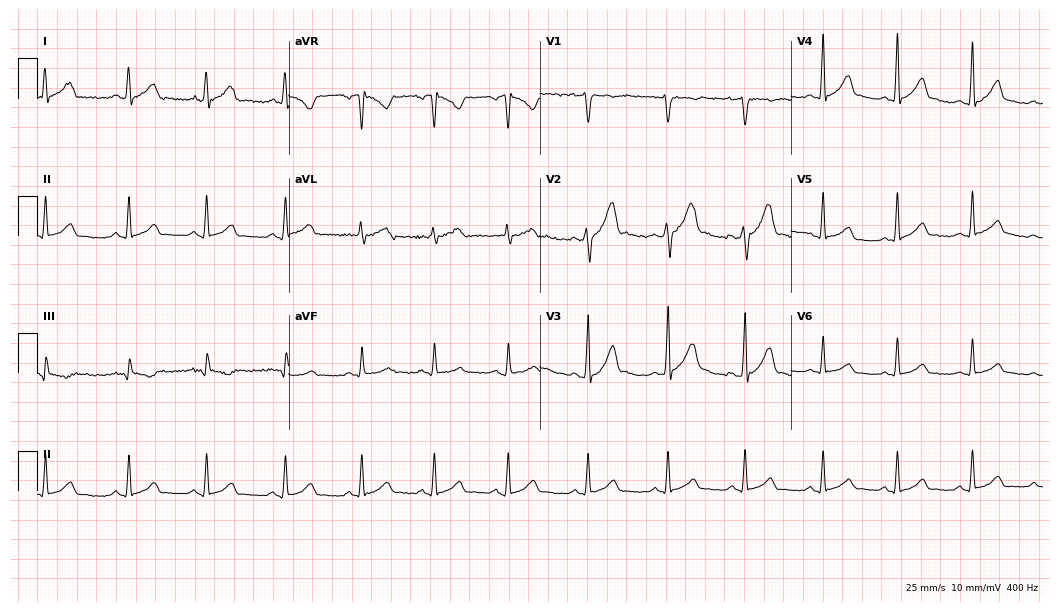
ECG (10.2-second recording at 400 Hz) — a 30-year-old male. Screened for six findings — first-degree AV block, right bundle branch block, left bundle branch block, sinus bradycardia, atrial fibrillation, sinus tachycardia — none is recorded. Other findings, if any, are not listed.